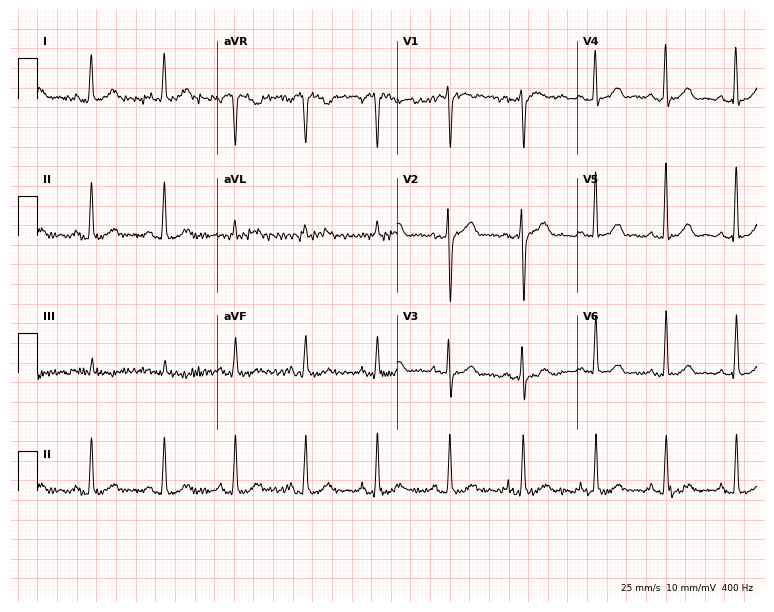
12-lead ECG from a 50-year-old female. No first-degree AV block, right bundle branch block, left bundle branch block, sinus bradycardia, atrial fibrillation or sinus tachycardia recorded for this tracing.